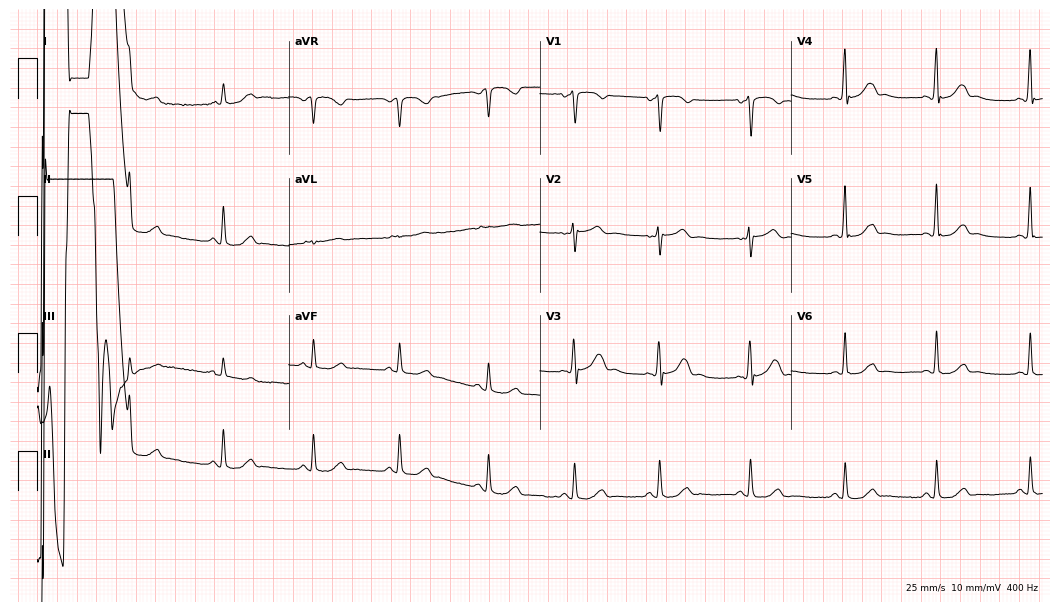
Resting 12-lead electrocardiogram. Patient: a man, 36 years old. None of these six findings is recorded: first-degree AV block, right bundle branch block, left bundle branch block, sinus bradycardia, atrial fibrillation, sinus tachycardia.